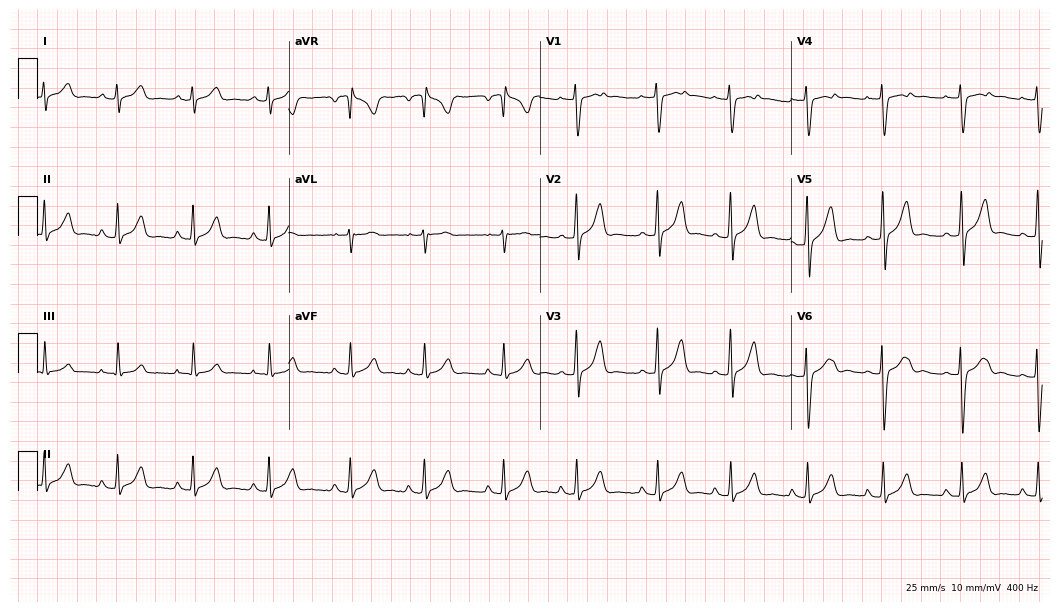
12-lead ECG from a 23-year-old female patient (10.2-second recording at 400 Hz). Recorded interpretation: within normal limits.